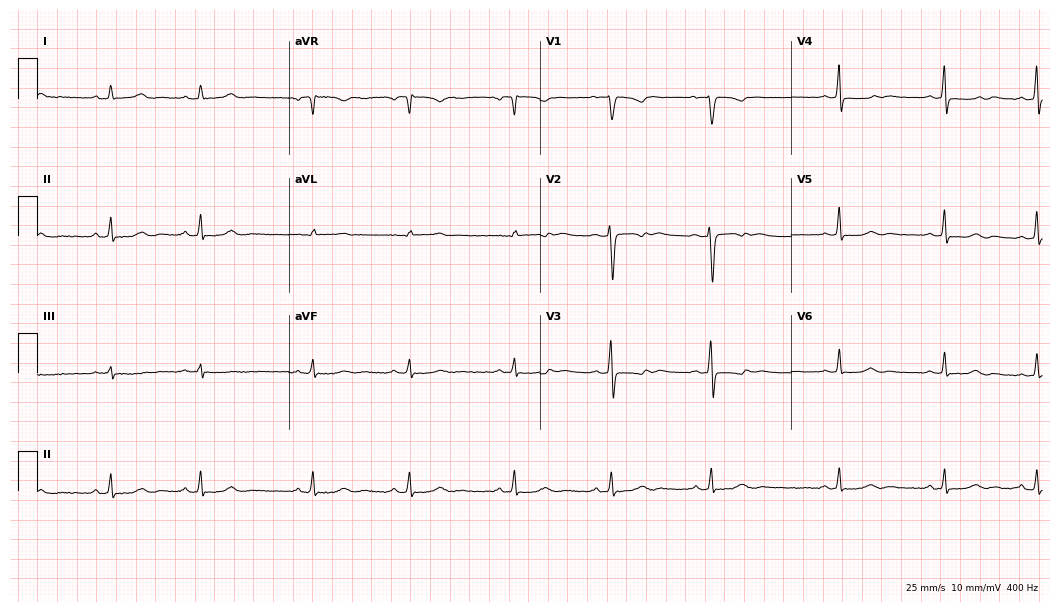
Standard 12-lead ECG recorded from a 19-year-old male (10.2-second recording at 400 Hz). None of these six findings is recorded: first-degree AV block, right bundle branch block, left bundle branch block, sinus bradycardia, atrial fibrillation, sinus tachycardia.